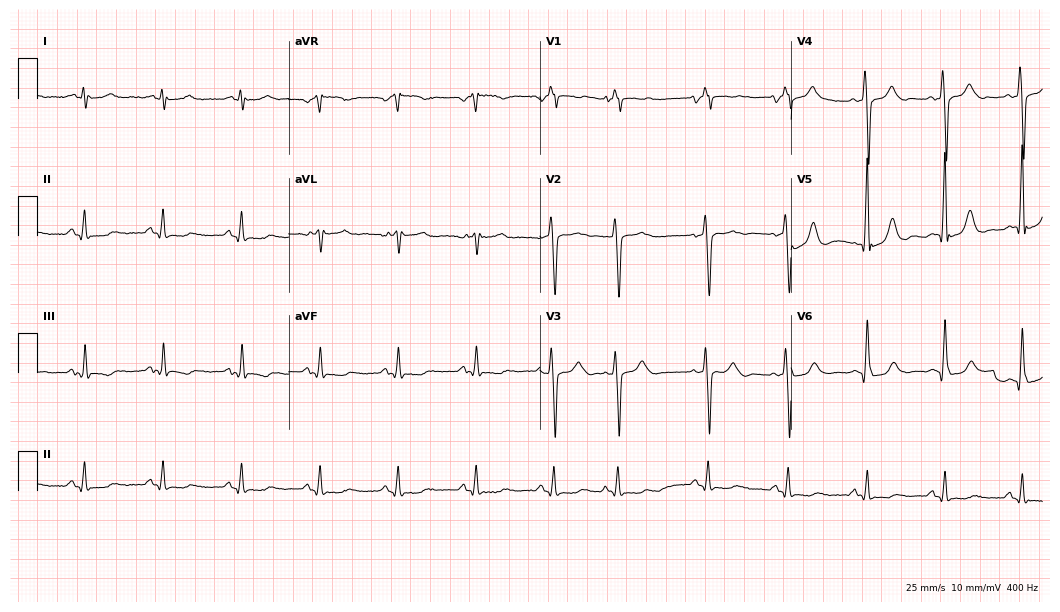
Resting 12-lead electrocardiogram. Patient: an 82-year-old male. None of these six findings is recorded: first-degree AV block, right bundle branch block, left bundle branch block, sinus bradycardia, atrial fibrillation, sinus tachycardia.